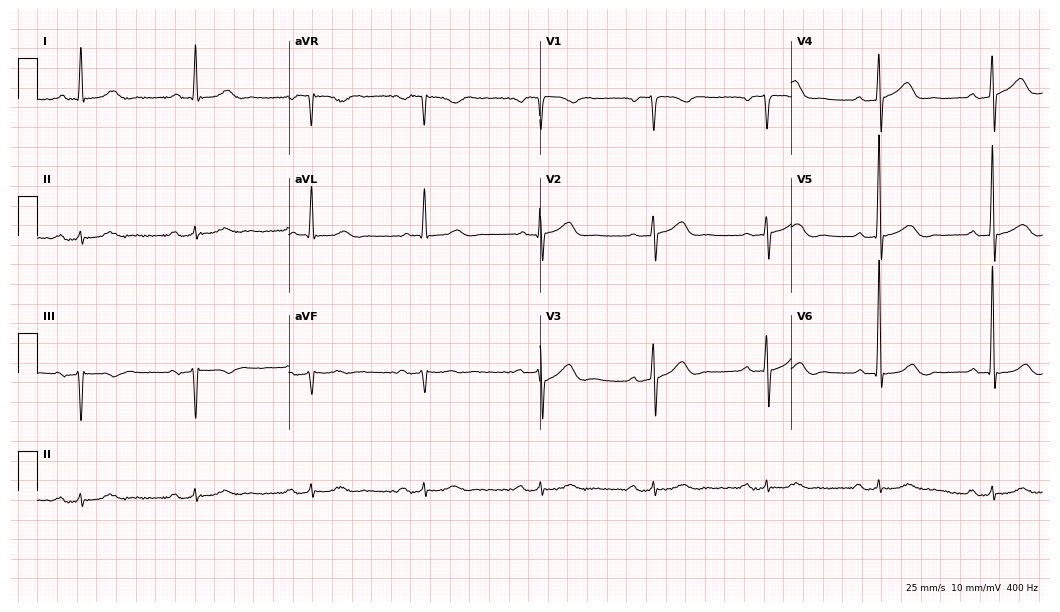
Electrocardiogram, a 76-year-old male. Interpretation includes first-degree AV block.